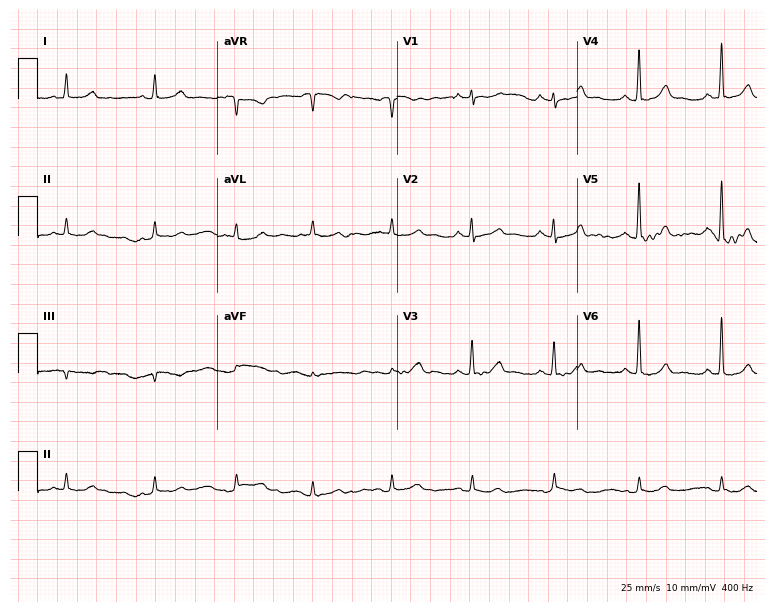
Electrocardiogram (7.3-second recording at 400 Hz), a 35-year-old female patient. Overall reading on record: normal ECG.